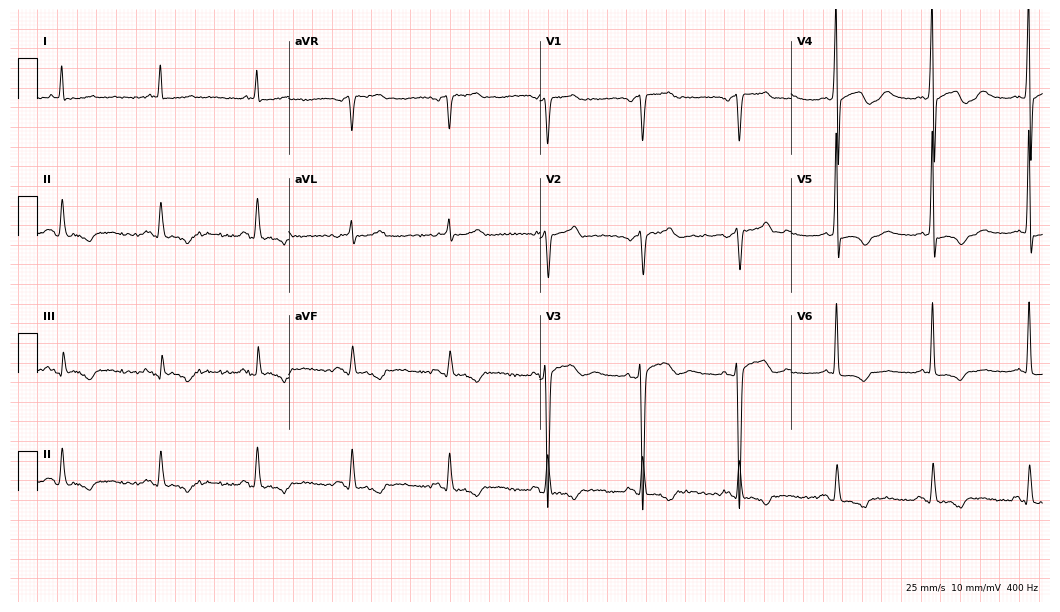
12-lead ECG (10.2-second recording at 400 Hz) from a 50-year-old woman. Screened for six findings — first-degree AV block, right bundle branch block (RBBB), left bundle branch block (LBBB), sinus bradycardia, atrial fibrillation (AF), sinus tachycardia — none is recorded.